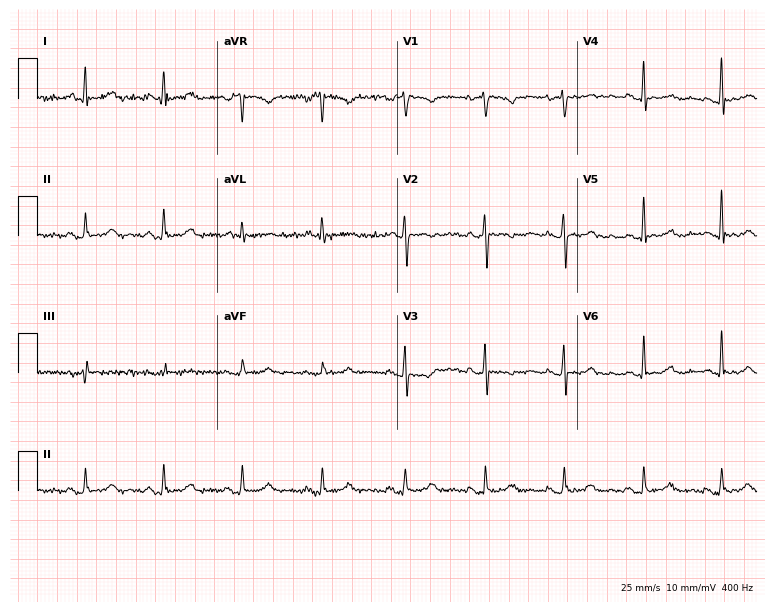
ECG (7.3-second recording at 400 Hz) — a female patient, 45 years old. Screened for six findings — first-degree AV block, right bundle branch block (RBBB), left bundle branch block (LBBB), sinus bradycardia, atrial fibrillation (AF), sinus tachycardia — none is recorded. Other findings, if any, are not listed.